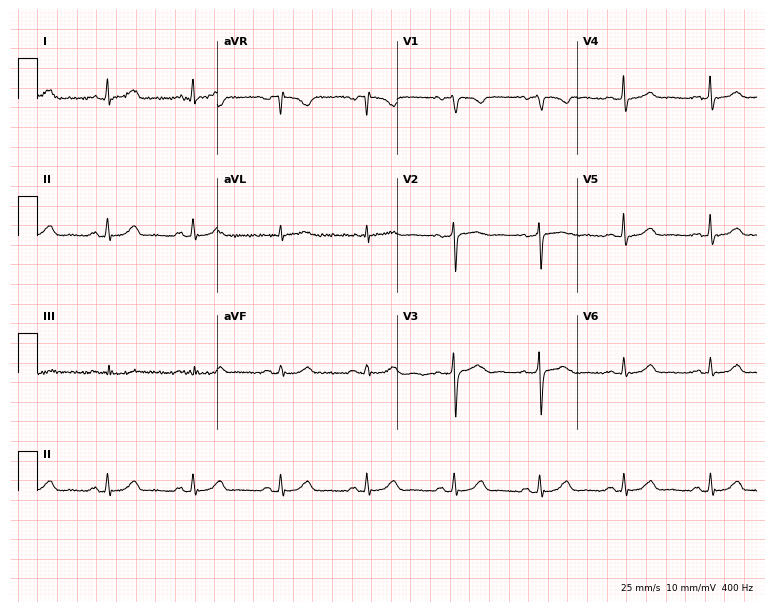
ECG (7.3-second recording at 400 Hz) — a female patient, 34 years old. Labelled as a normal ECG.